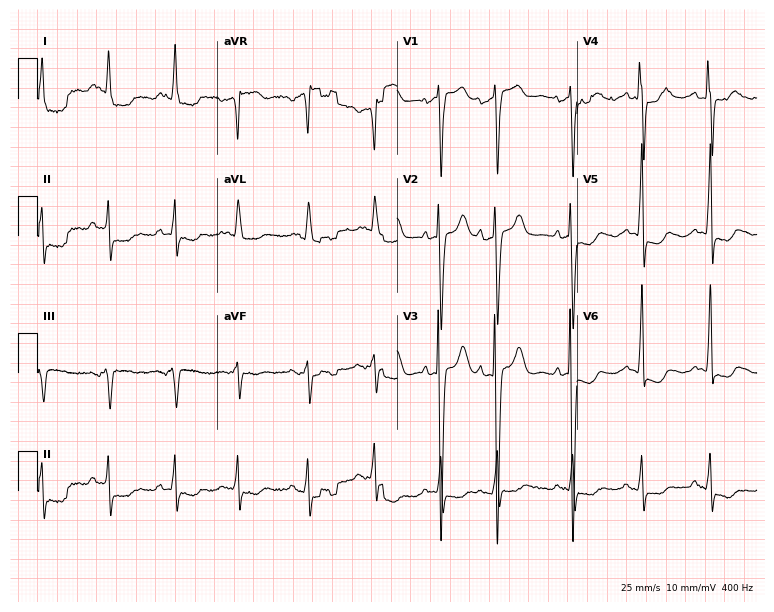
Electrocardiogram, a female patient, 83 years old. Of the six screened findings (first-degree AV block, right bundle branch block, left bundle branch block, sinus bradycardia, atrial fibrillation, sinus tachycardia), none is recorded. Findings outside these six are not listed.